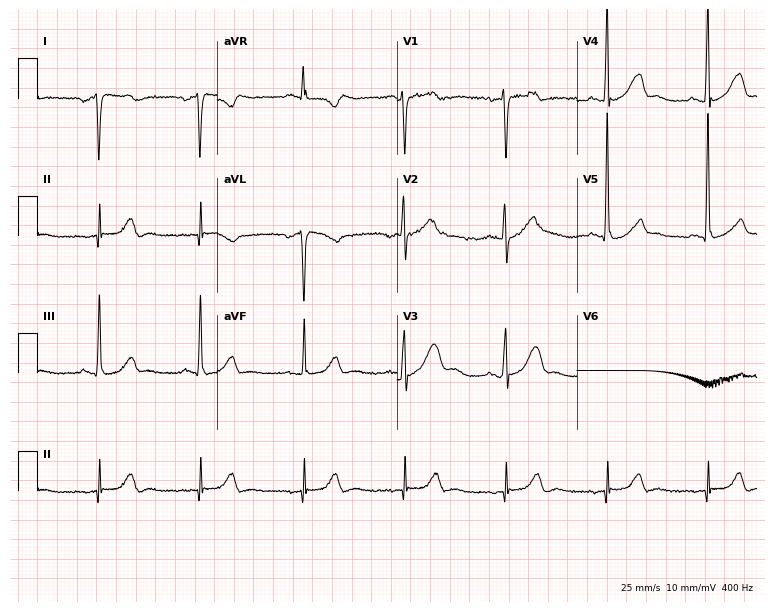
Resting 12-lead electrocardiogram. Patient: a 58-year-old female. None of these six findings is recorded: first-degree AV block, right bundle branch block (RBBB), left bundle branch block (LBBB), sinus bradycardia, atrial fibrillation (AF), sinus tachycardia. Other findings, if any, are not listed.